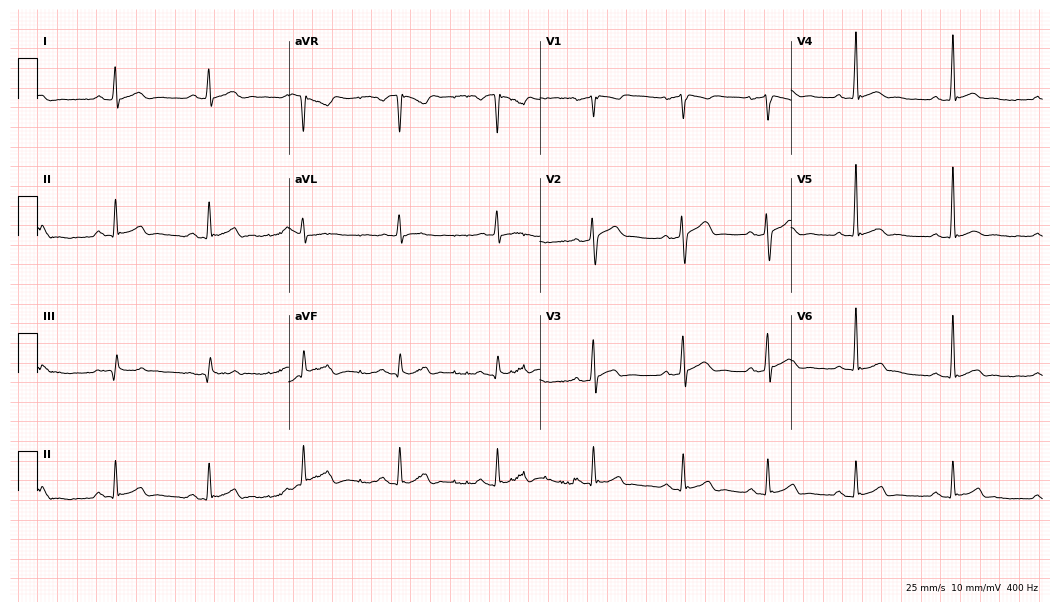
12-lead ECG from a 34-year-old male (10.2-second recording at 400 Hz). No first-degree AV block, right bundle branch block, left bundle branch block, sinus bradycardia, atrial fibrillation or sinus tachycardia recorded for this tracing. Other findings, if any, are not listed.